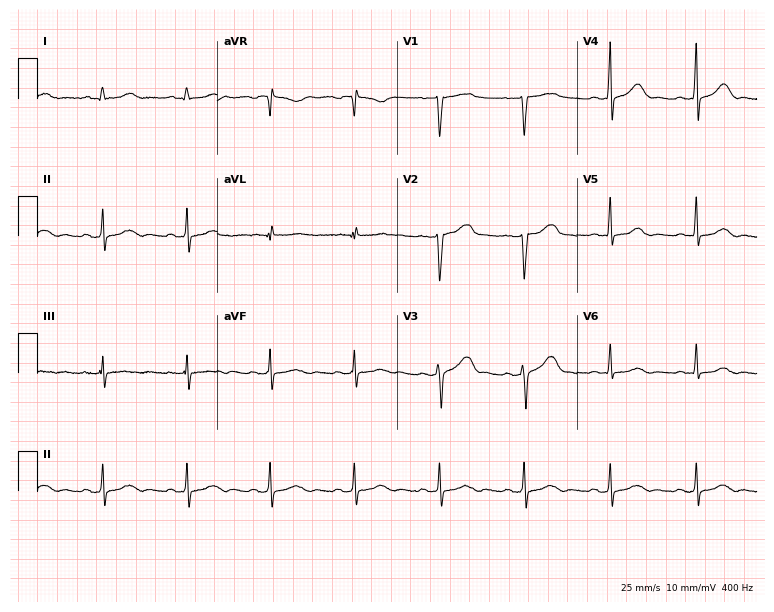
Standard 12-lead ECG recorded from a 36-year-old female. None of these six findings is recorded: first-degree AV block, right bundle branch block (RBBB), left bundle branch block (LBBB), sinus bradycardia, atrial fibrillation (AF), sinus tachycardia.